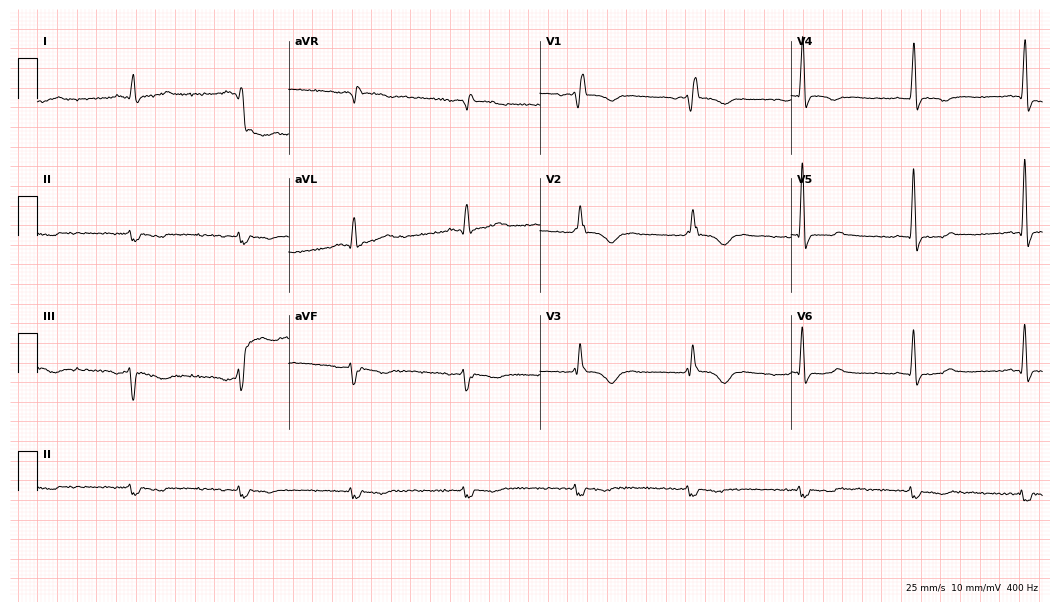
12-lead ECG from a 51-year-old male patient. Findings include right bundle branch block, left bundle branch block.